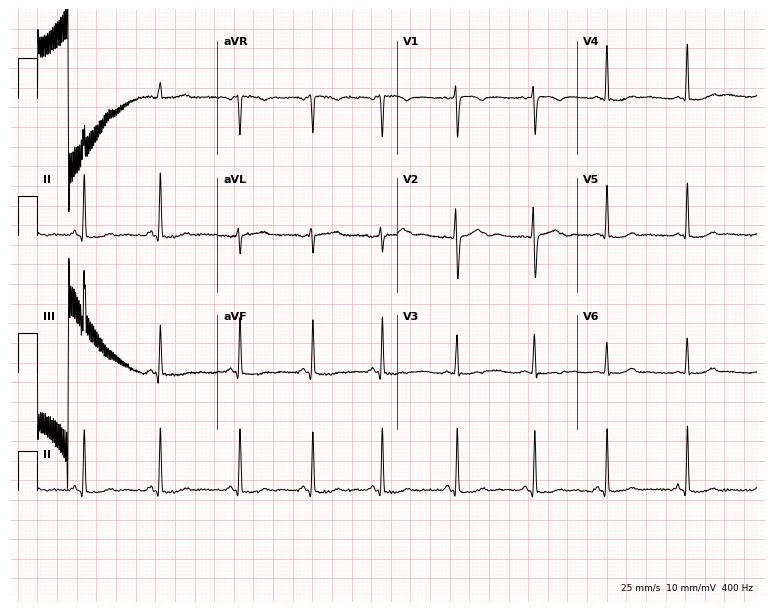
Standard 12-lead ECG recorded from a female patient, 26 years old (7.3-second recording at 400 Hz). None of these six findings is recorded: first-degree AV block, right bundle branch block, left bundle branch block, sinus bradycardia, atrial fibrillation, sinus tachycardia. Only these six findings were labelled.